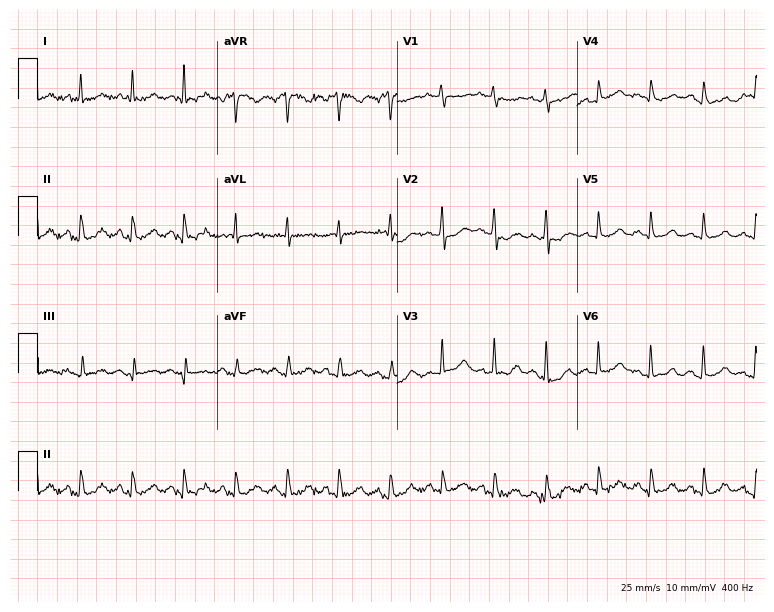
Resting 12-lead electrocardiogram. Patient: a 49-year-old female. The tracing shows sinus tachycardia (a sinus rate of 100 beats per minute or more).